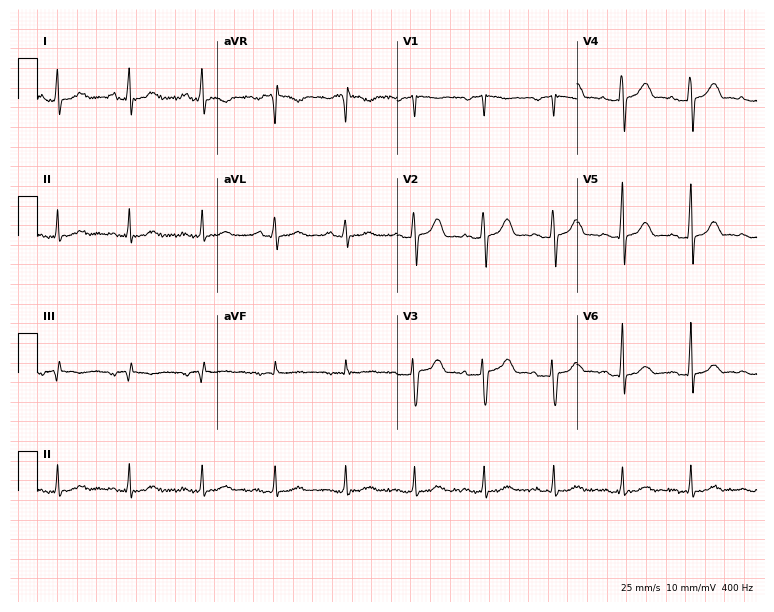
12-lead ECG (7.3-second recording at 400 Hz) from a 36-year-old female. Labelled as a normal ECG.